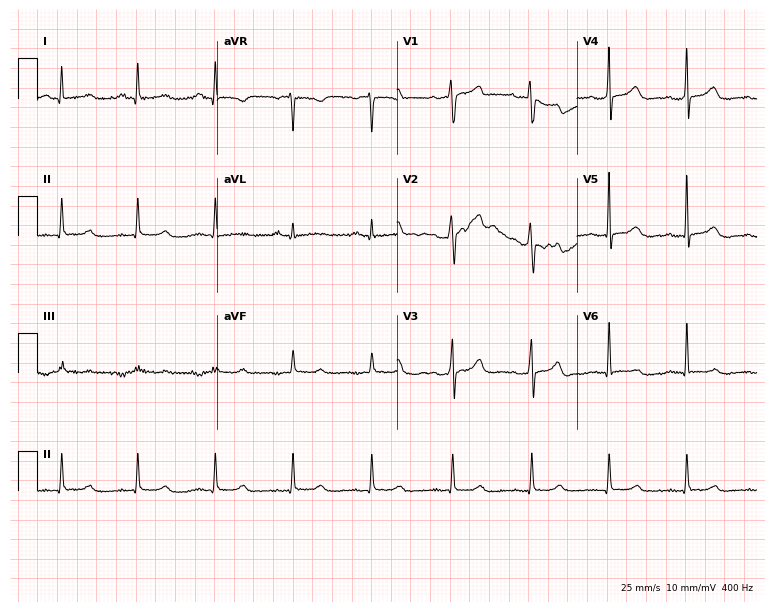
12-lead ECG from a female patient, 40 years old. Recorded interpretation: within normal limits.